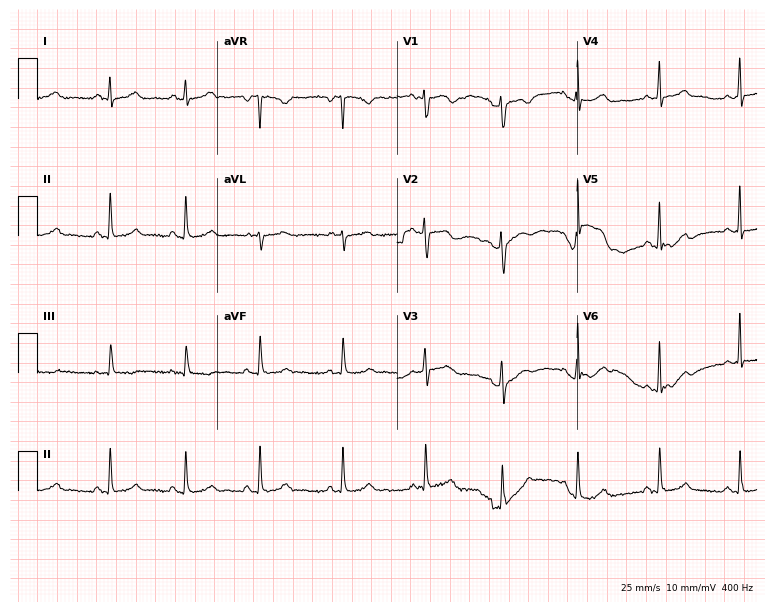
12-lead ECG (7.3-second recording at 400 Hz) from a female, 29 years old. Labelled as a normal ECG.